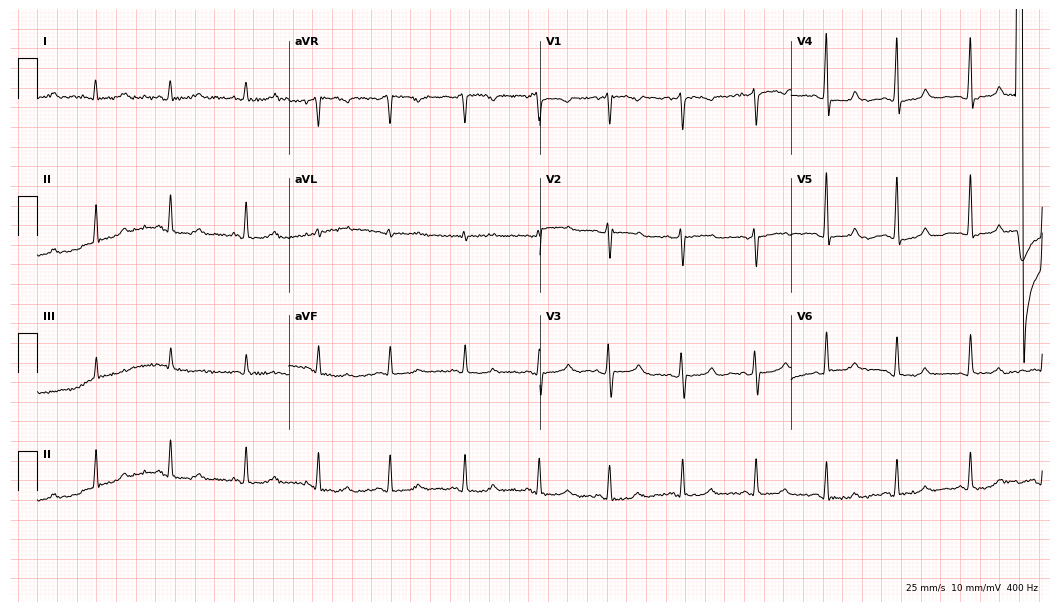
ECG (10.2-second recording at 400 Hz) — a woman, 37 years old. Labelled as a normal ECG.